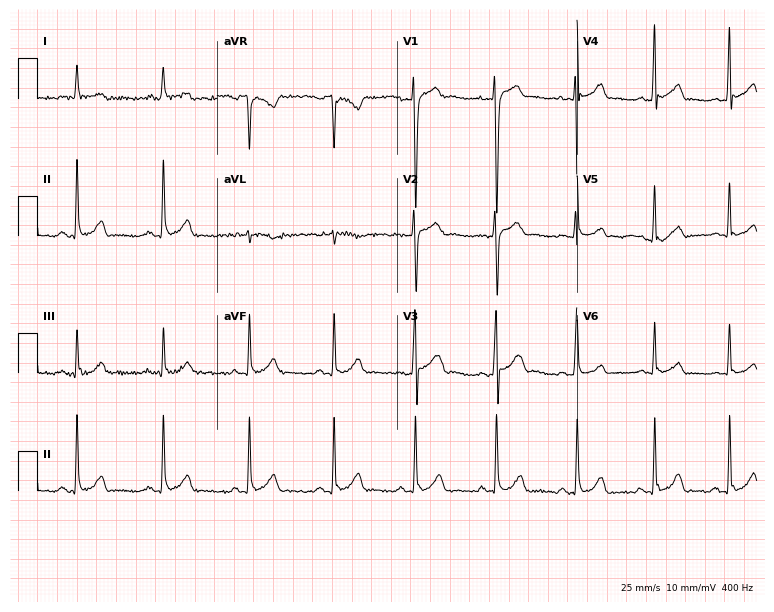
ECG (7.3-second recording at 400 Hz) — a 24-year-old male patient. Labelled as a normal ECG.